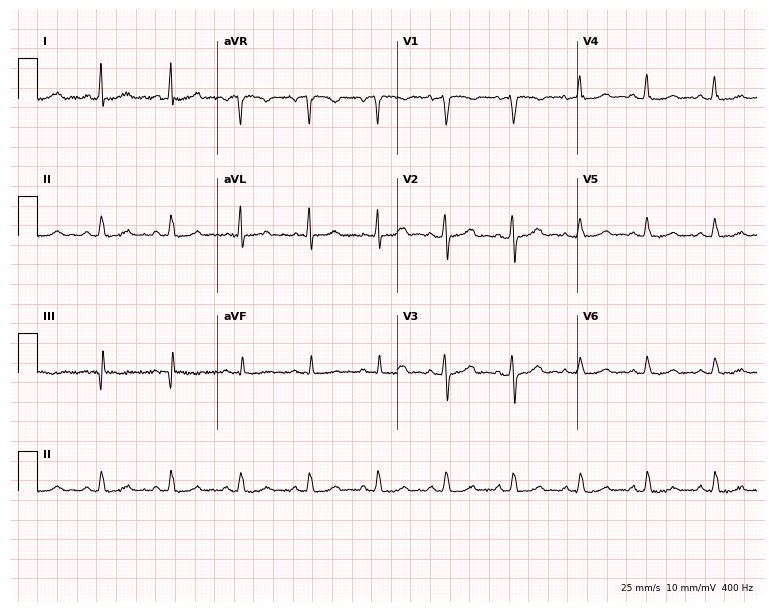
Electrocardiogram, a female patient, 53 years old. Of the six screened findings (first-degree AV block, right bundle branch block, left bundle branch block, sinus bradycardia, atrial fibrillation, sinus tachycardia), none is recorded. Other findings, if any, are not listed.